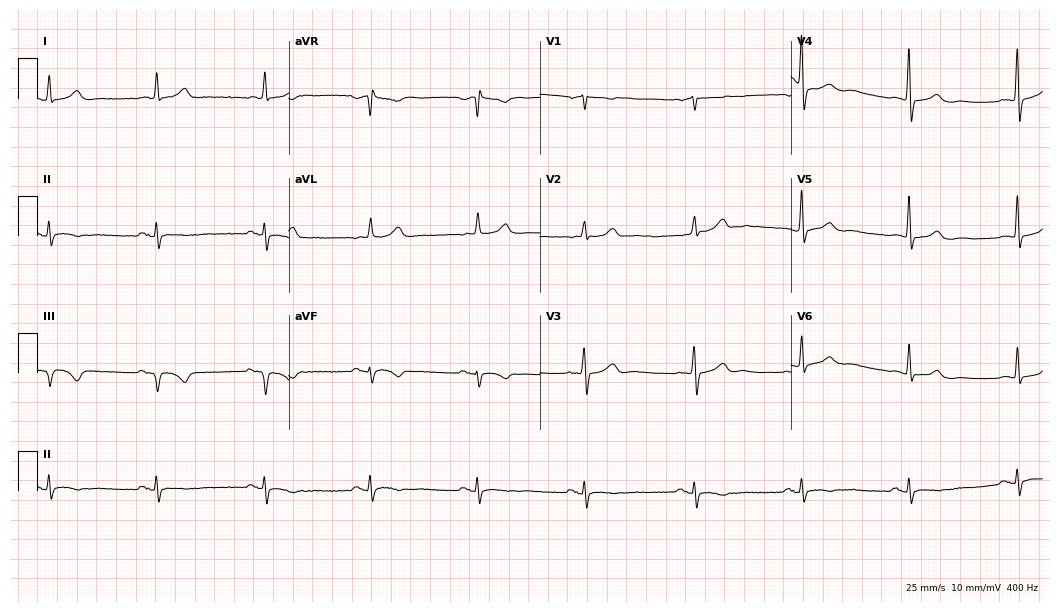
Electrocardiogram, a man, 68 years old. Overall reading on record: normal ECG.